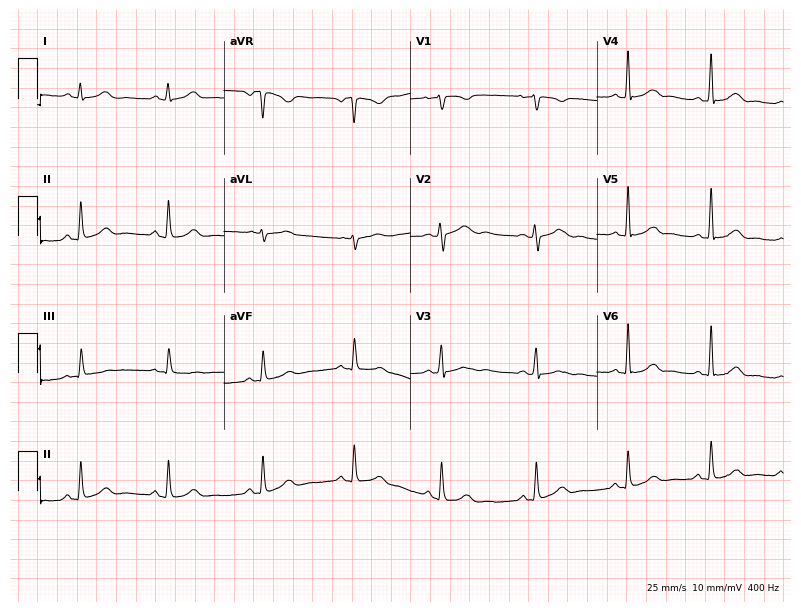
ECG — a 43-year-old woman. Labelled as a normal ECG.